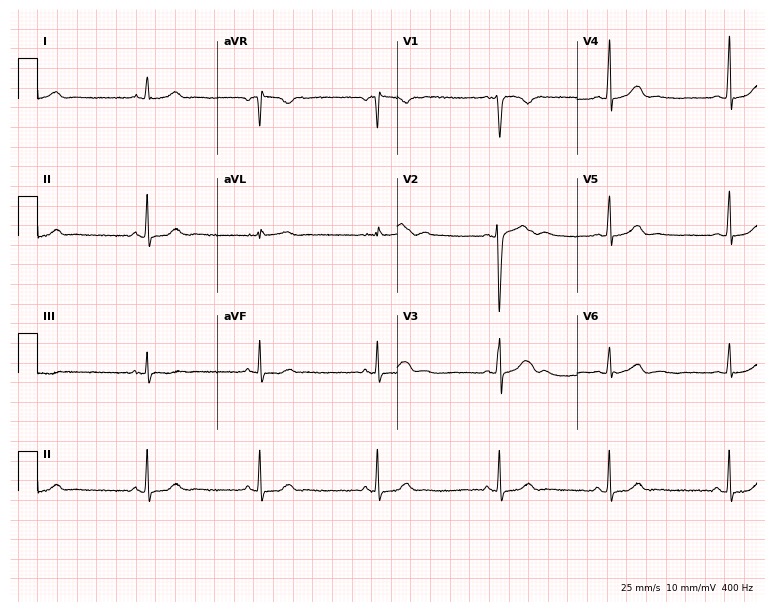
Standard 12-lead ECG recorded from a female patient, 20 years old (7.3-second recording at 400 Hz). None of these six findings is recorded: first-degree AV block, right bundle branch block, left bundle branch block, sinus bradycardia, atrial fibrillation, sinus tachycardia. Only these six findings were labelled.